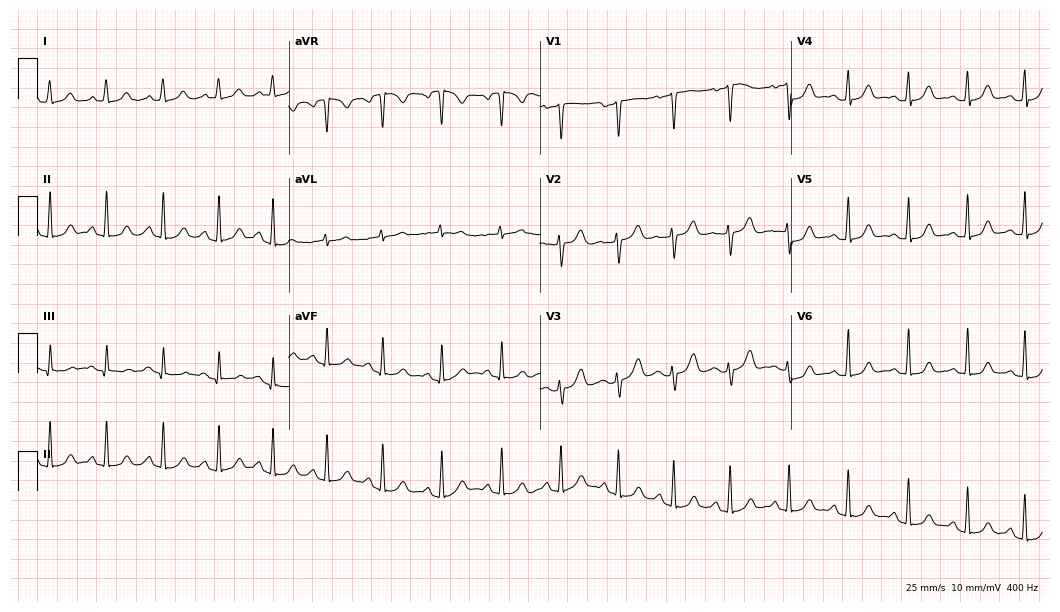
Electrocardiogram, a 37-year-old woman. Interpretation includes sinus tachycardia (a sinus rate of 100 beats per minute or more).